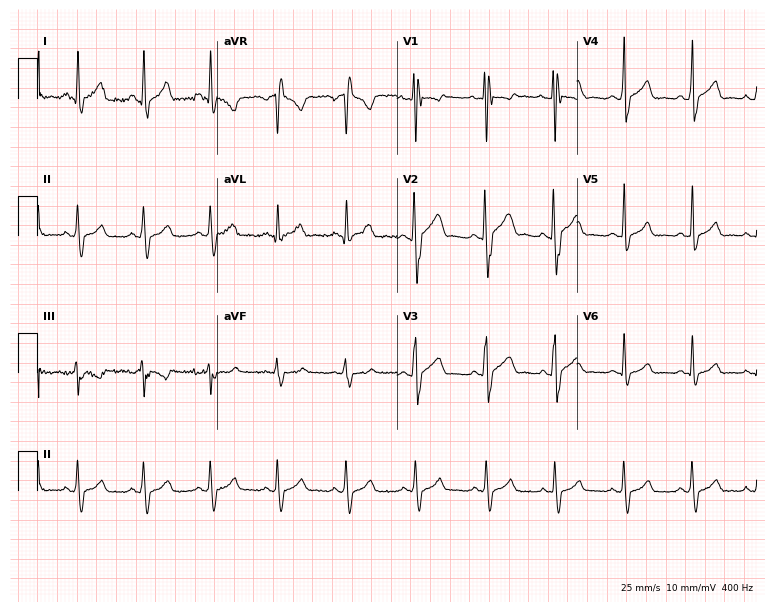
12-lead ECG (7.3-second recording at 400 Hz) from a 21-year-old male. Screened for six findings — first-degree AV block, right bundle branch block, left bundle branch block, sinus bradycardia, atrial fibrillation, sinus tachycardia — none is recorded.